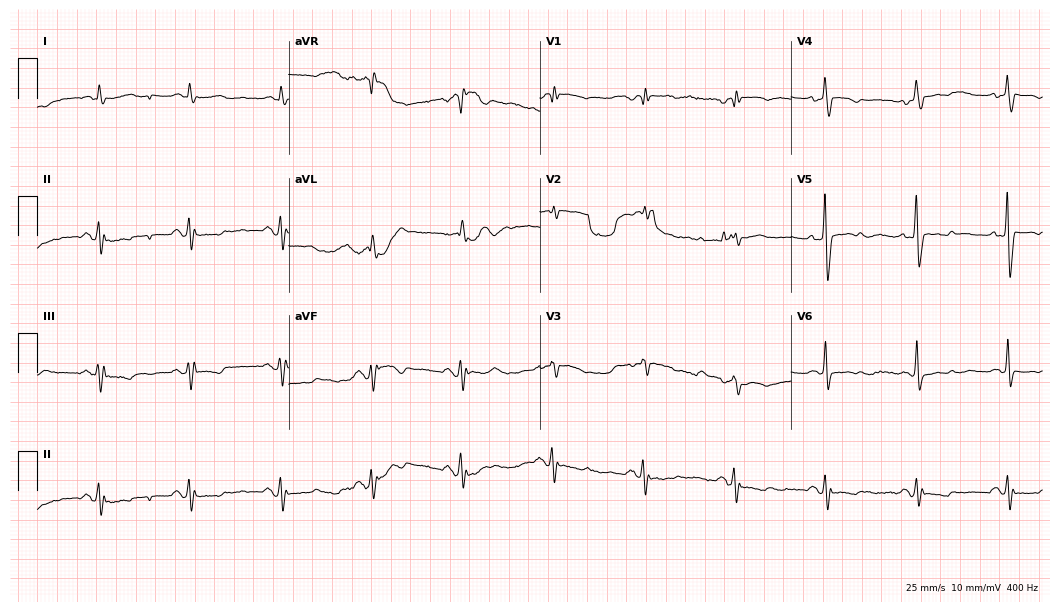
ECG — a 68-year-old man. Screened for six findings — first-degree AV block, right bundle branch block (RBBB), left bundle branch block (LBBB), sinus bradycardia, atrial fibrillation (AF), sinus tachycardia — none is recorded. Only these six findings were labelled.